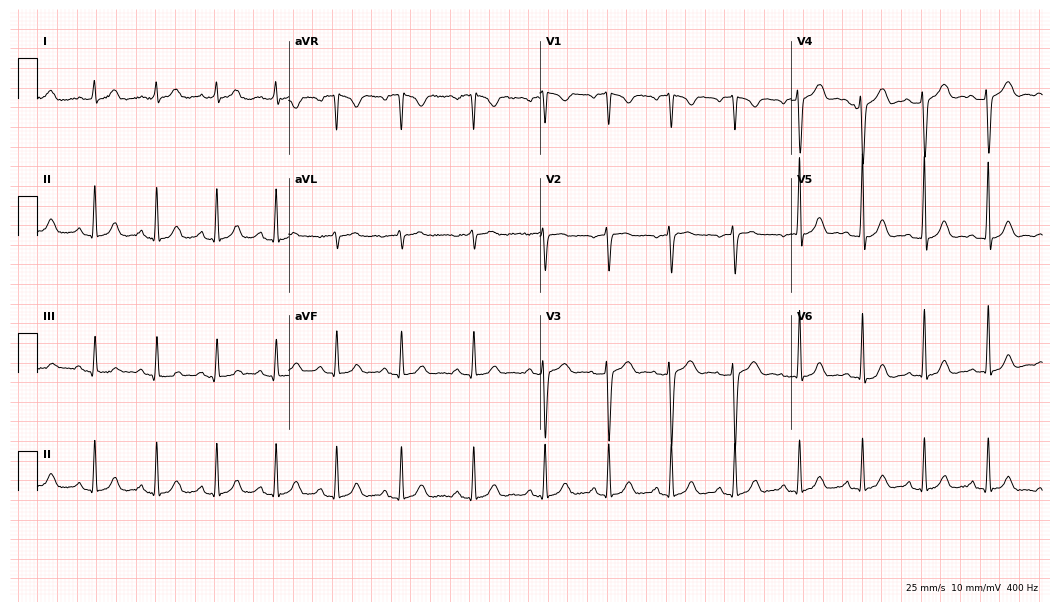
Resting 12-lead electrocardiogram. Patient: a woman, 20 years old. None of these six findings is recorded: first-degree AV block, right bundle branch block (RBBB), left bundle branch block (LBBB), sinus bradycardia, atrial fibrillation (AF), sinus tachycardia.